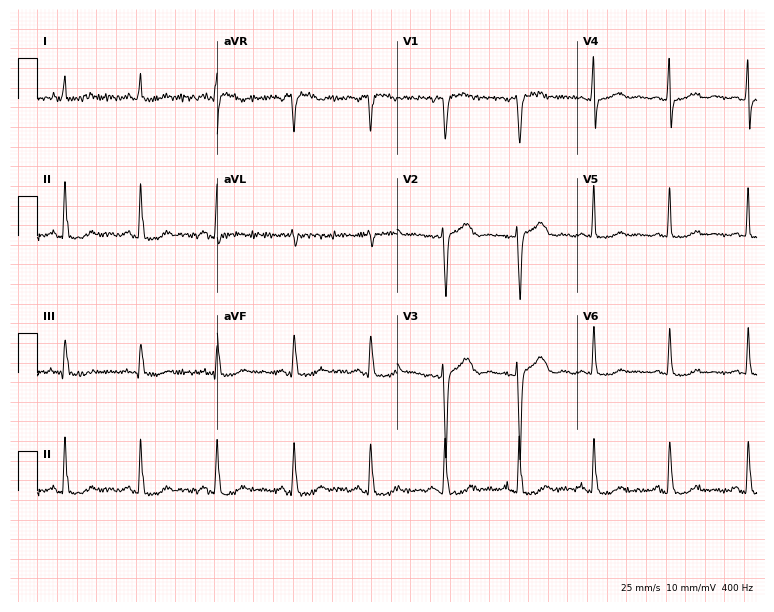
12-lead ECG from a 49-year-old woman (7.3-second recording at 400 Hz). No first-degree AV block, right bundle branch block, left bundle branch block, sinus bradycardia, atrial fibrillation or sinus tachycardia recorded for this tracing. Only these six findings were labelled.